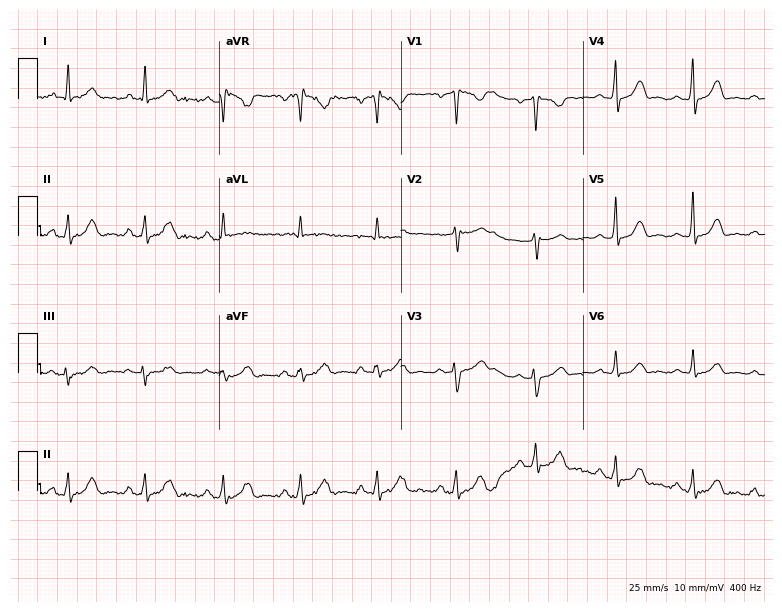
Standard 12-lead ECG recorded from a female patient, 41 years old. Read as a normal ECG.